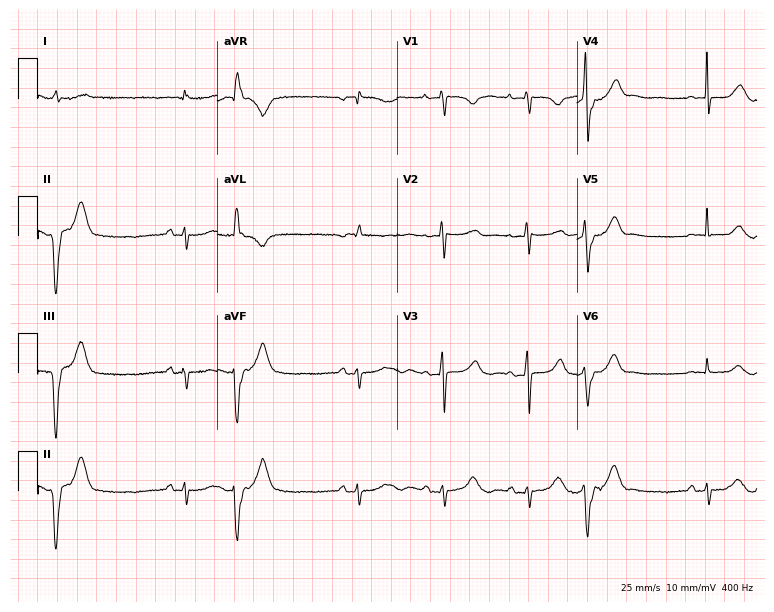
ECG — a 72-year-old female patient. Screened for six findings — first-degree AV block, right bundle branch block (RBBB), left bundle branch block (LBBB), sinus bradycardia, atrial fibrillation (AF), sinus tachycardia — none is recorded. Findings outside these six are not listed.